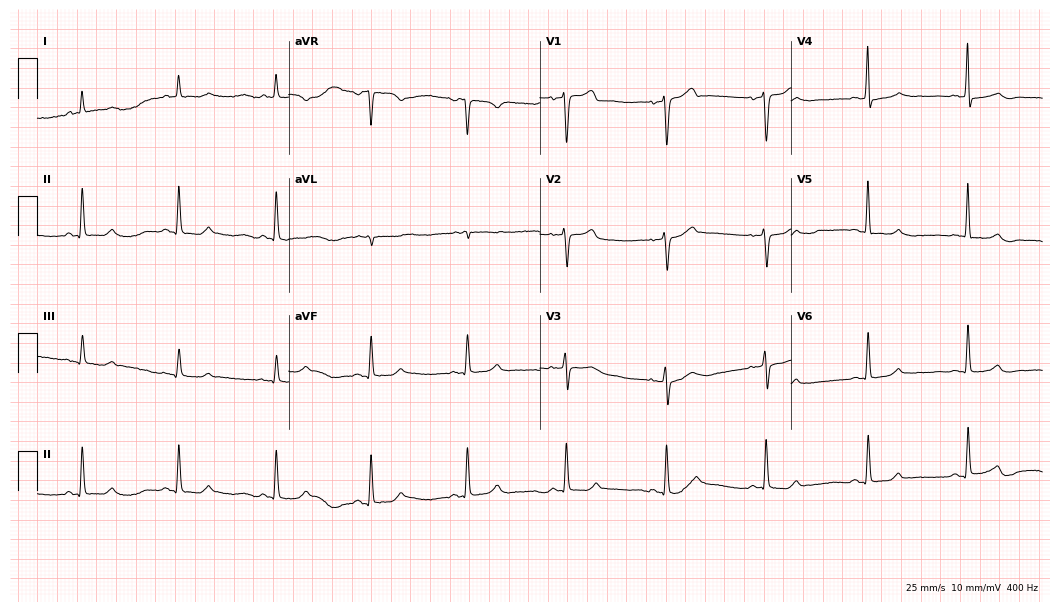
Standard 12-lead ECG recorded from a female patient, 52 years old. Read as a normal ECG.